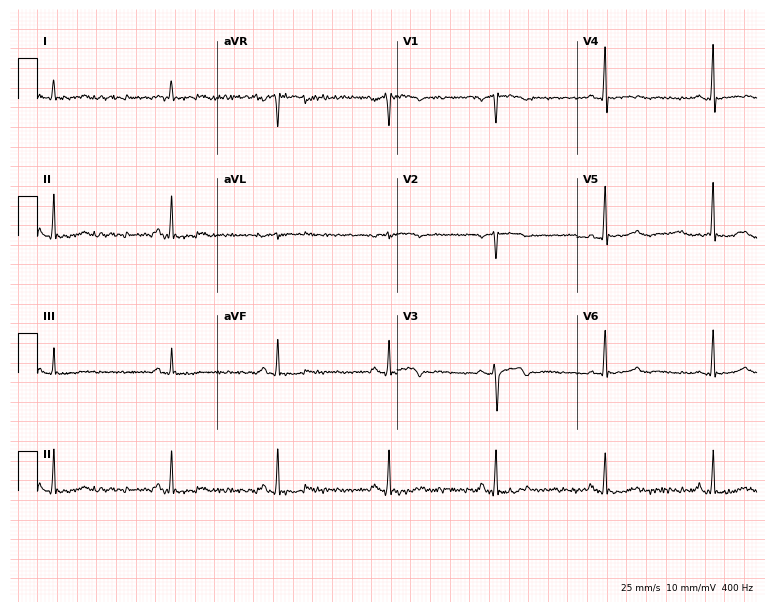
Resting 12-lead electrocardiogram. Patient: a 49-year-old woman. None of these six findings is recorded: first-degree AV block, right bundle branch block, left bundle branch block, sinus bradycardia, atrial fibrillation, sinus tachycardia.